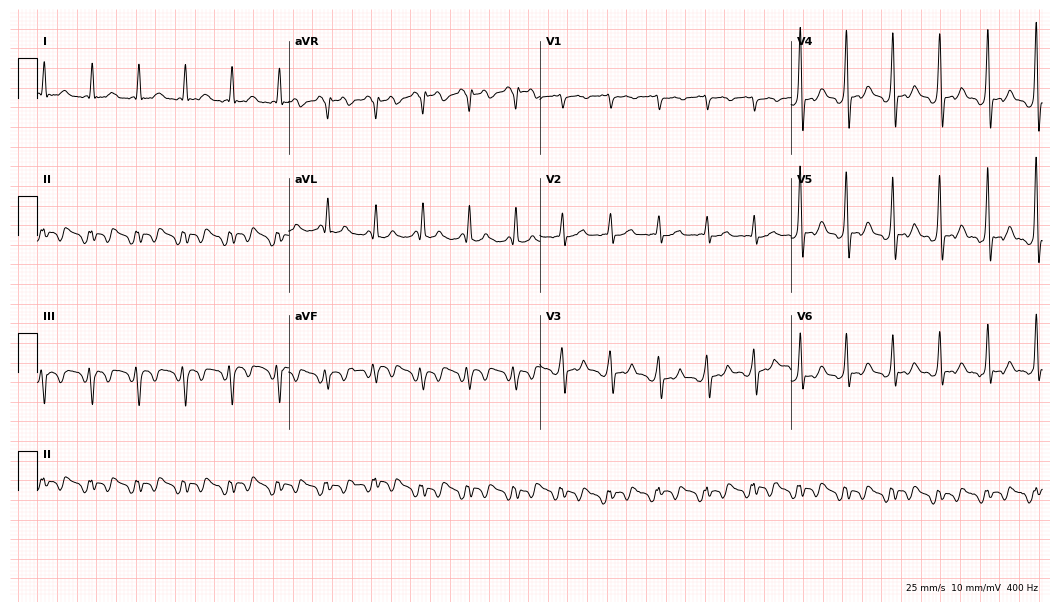
Resting 12-lead electrocardiogram (10.2-second recording at 400 Hz). Patient: a man, 59 years old. None of these six findings is recorded: first-degree AV block, right bundle branch block, left bundle branch block, sinus bradycardia, atrial fibrillation, sinus tachycardia.